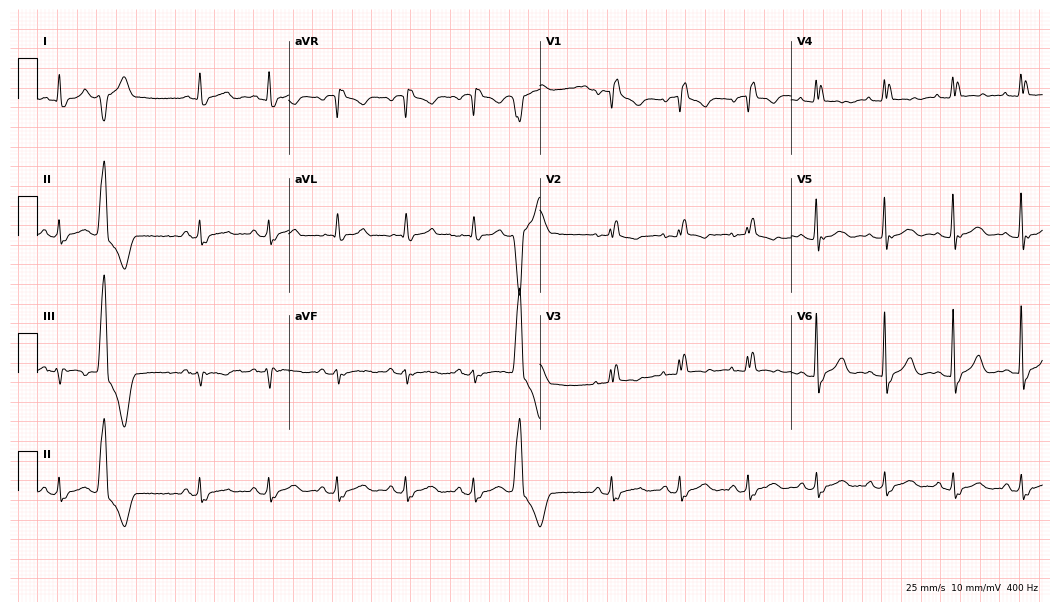
Electrocardiogram, a female, 73 years old. Interpretation includes right bundle branch block (RBBB).